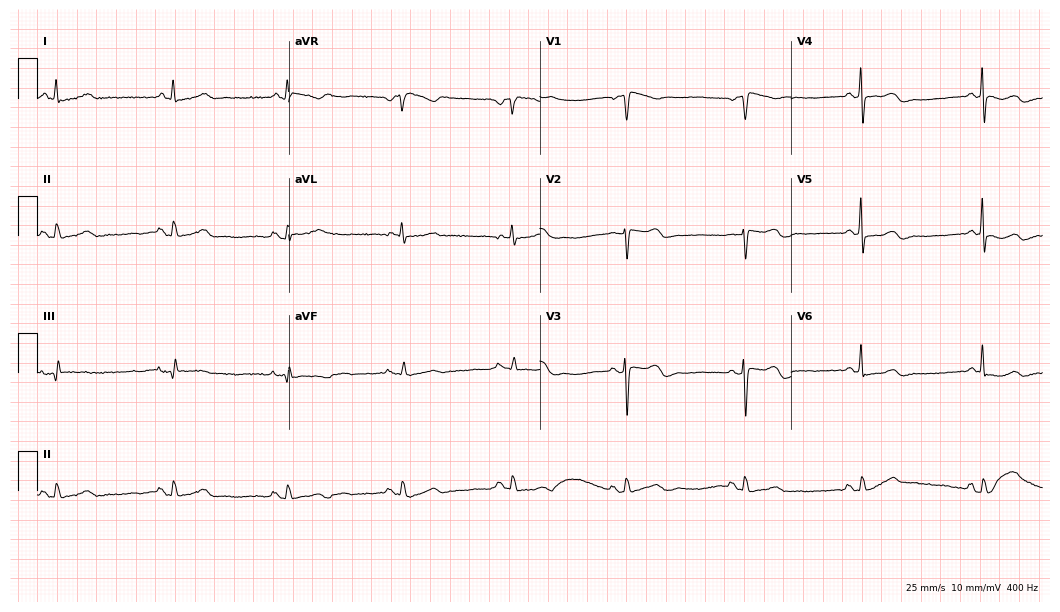
12-lead ECG (10.2-second recording at 400 Hz) from a woman, 70 years old. Screened for six findings — first-degree AV block, right bundle branch block, left bundle branch block, sinus bradycardia, atrial fibrillation, sinus tachycardia — none is recorded.